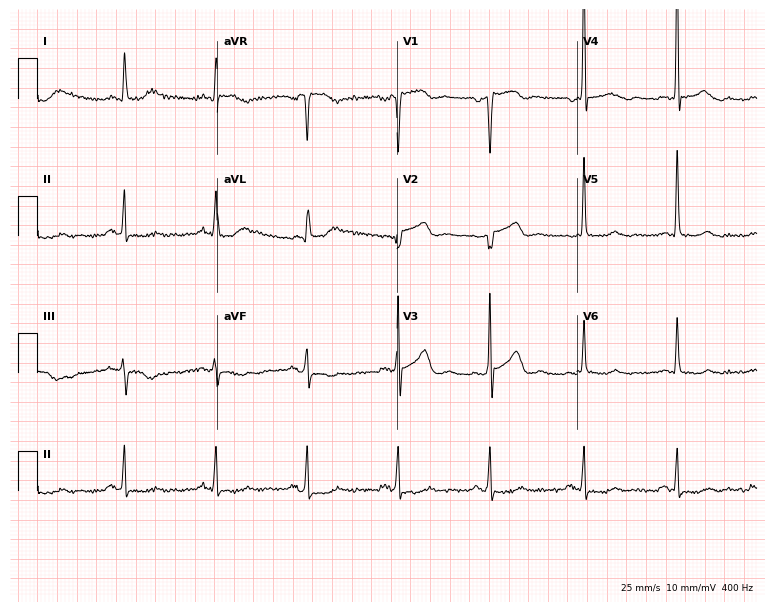
12-lead ECG from a 50-year-old man. No first-degree AV block, right bundle branch block, left bundle branch block, sinus bradycardia, atrial fibrillation or sinus tachycardia recorded for this tracing.